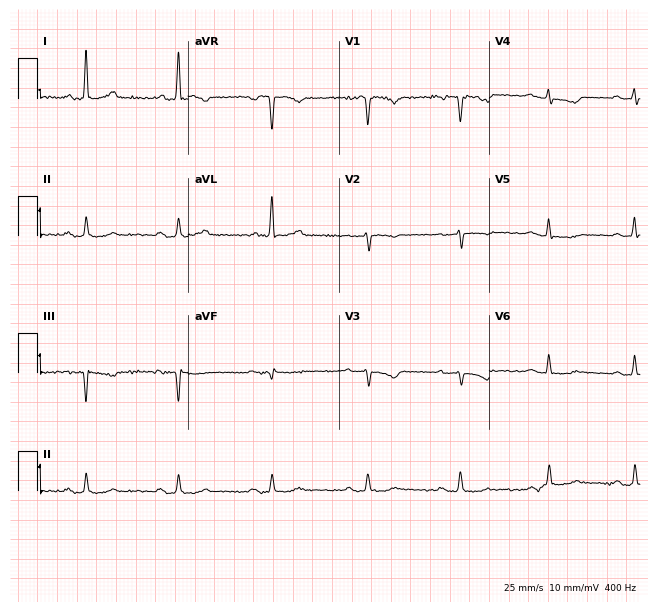
Resting 12-lead electrocardiogram. Patient: a female, 52 years old. None of these six findings is recorded: first-degree AV block, right bundle branch block, left bundle branch block, sinus bradycardia, atrial fibrillation, sinus tachycardia.